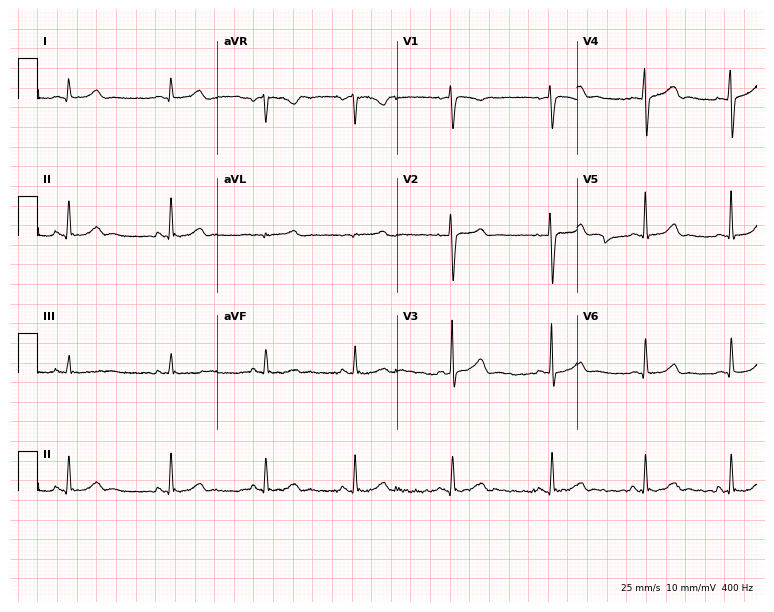
Electrocardiogram (7.3-second recording at 400 Hz), a woman, 36 years old. Overall reading on record: normal ECG.